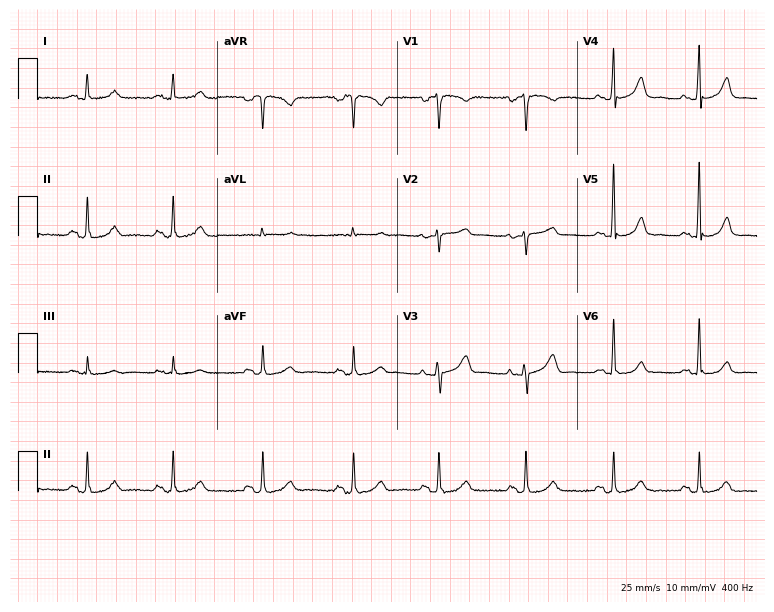
ECG (7.3-second recording at 400 Hz) — a 43-year-old woman. Labelled as a normal ECG.